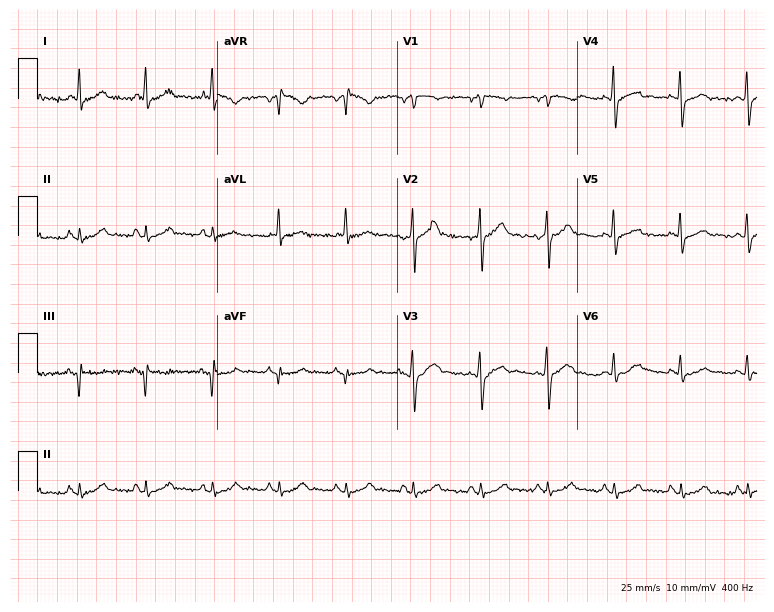
12-lead ECG (7.3-second recording at 400 Hz) from a 54-year-old male. Labelled as a normal ECG.